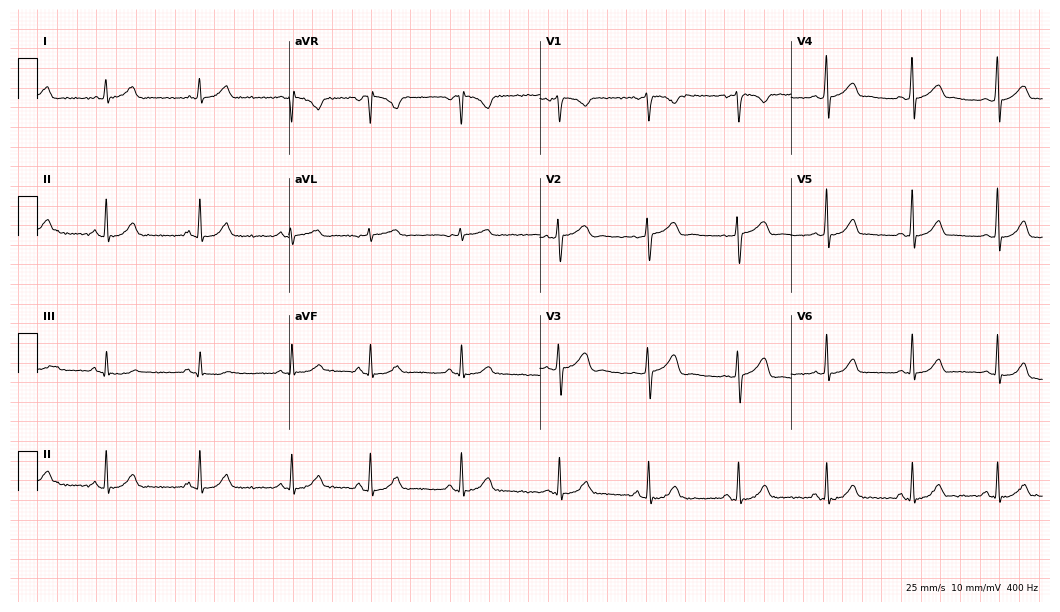
Electrocardiogram (10.2-second recording at 400 Hz), a female, 24 years old. Of the six screened findings (first-degree AV block, right bundle branch block, left bundle branch block, sinus bradycardia, atrial fibrillation, sinus tachycardia), none is recorded.